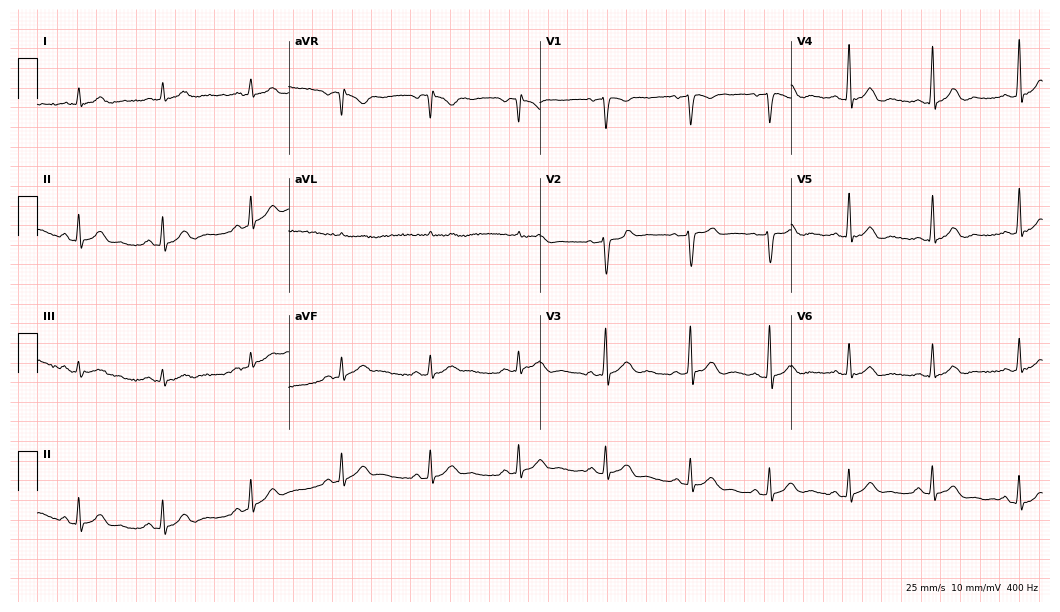
Electrocardiogram (10.2-second recording at 400 Hz), a male patient, 40 years old. Overall reading on record: normal ECG.